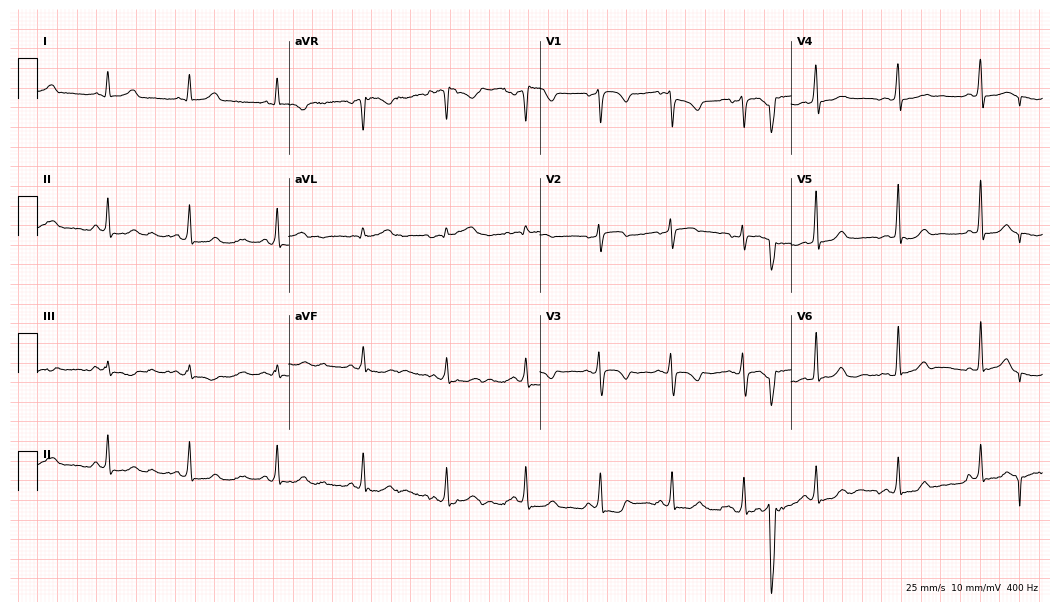
ECG — a 40-year-old female. Screened for six findings — first-degree AV block, right bundle branch block, left bundle branch block, sinus bradycardia, atrial fibrillation, sinus tachycardia — none is recorded.